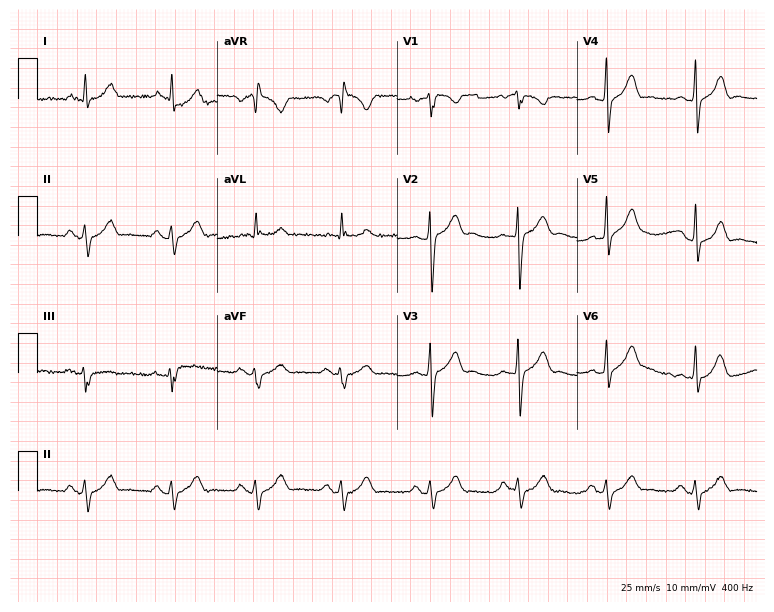
Electrocardiogram, a 46-year-old male. Of the six screened findings (first-degree AV block, right bundle branch block (RBBB), left bundle branch block (LBBB), sinus bradycardia, atrial fibrillation (AF), sinus tachycardia), none is recorded.